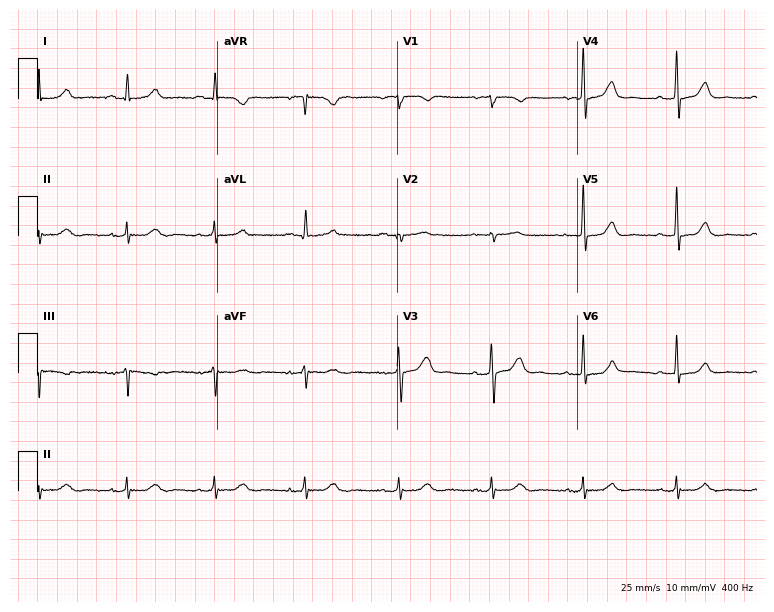
ECG (7.3-second recording at 400 Hz) — a female patient, 53 years old. Labelled as a normal ECG.